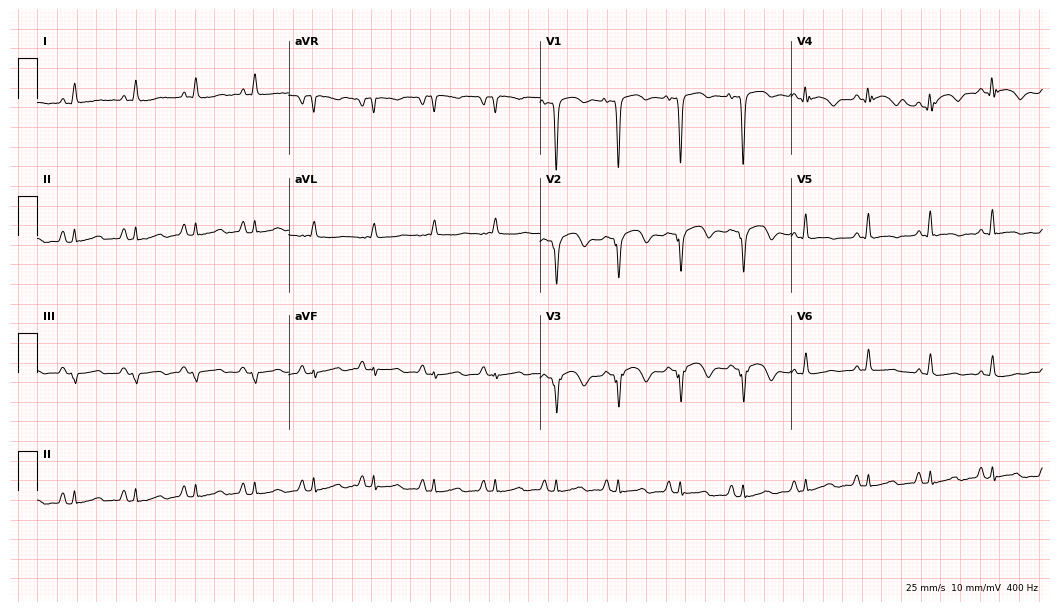
Resting 12-lead electrocardiogram (10.2-second recording at 400 Hz). Patient: a male, 59 years old. Read as a normal ECG.